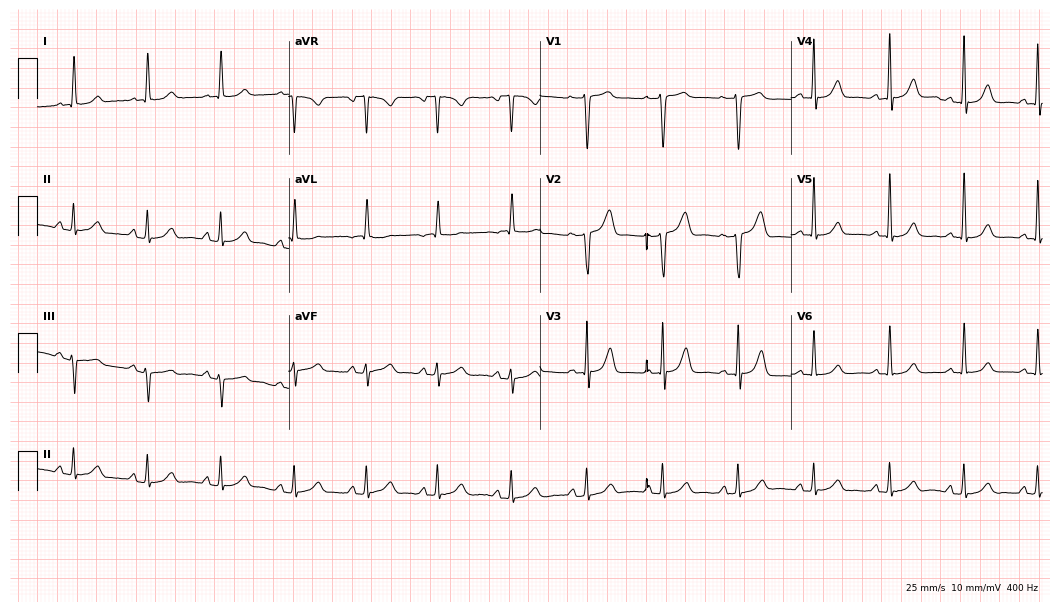
12-lead ECG from a woman, 72 years old. No first-degree AV block, right bundle branch block (RBBB), left bundle branch block (LBBB), sinus bradycardia, atrial fibrillation (AF) or sinus tachycardia recorded for this tracing.